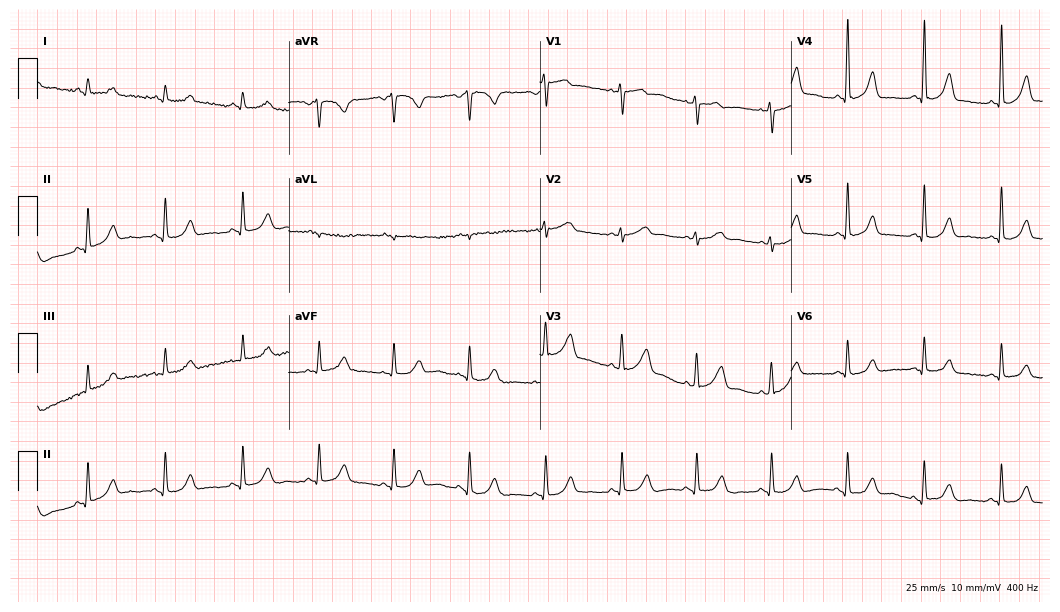
Resting 12-lead electrocardiogram. Patient: a 56-year-old female. Read as a normal ECG.